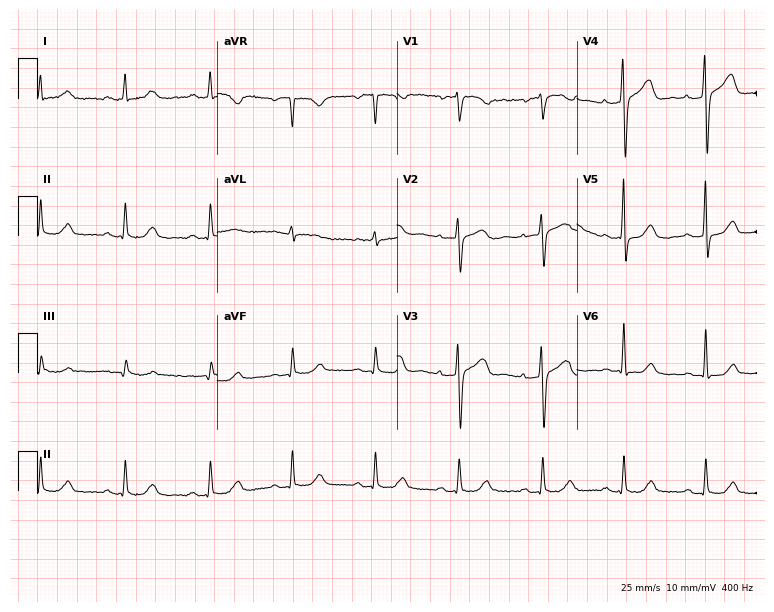
Resting 12-lead electrocardiogram. Patient: a woman, 63 years old. None of these six findings is recorded: first-degree AV block, right bundle branch block, left bundle branch block, sinus bradycardia, atrial fibrillation, sinus tachycardia.